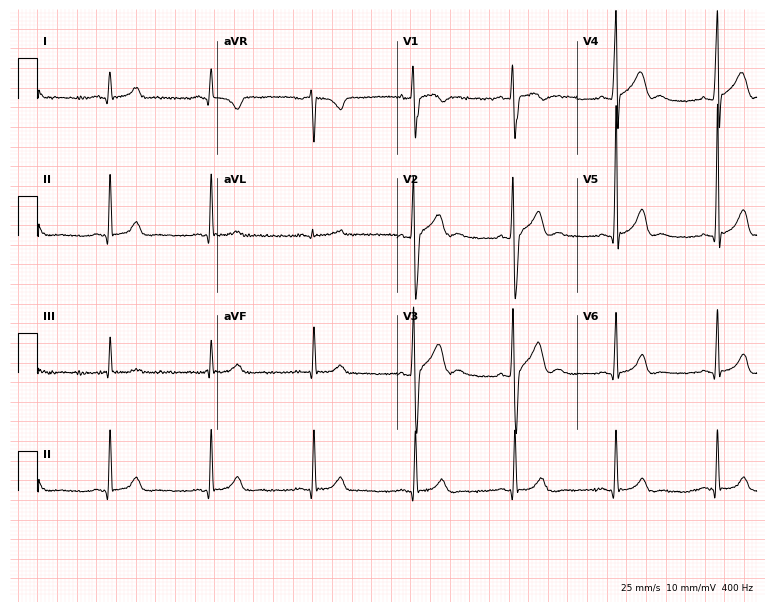
Standard 12-lead ECG recorded from a man, 35 years old (7.3-second recording at 400 Hz). Read as a normal ECG.